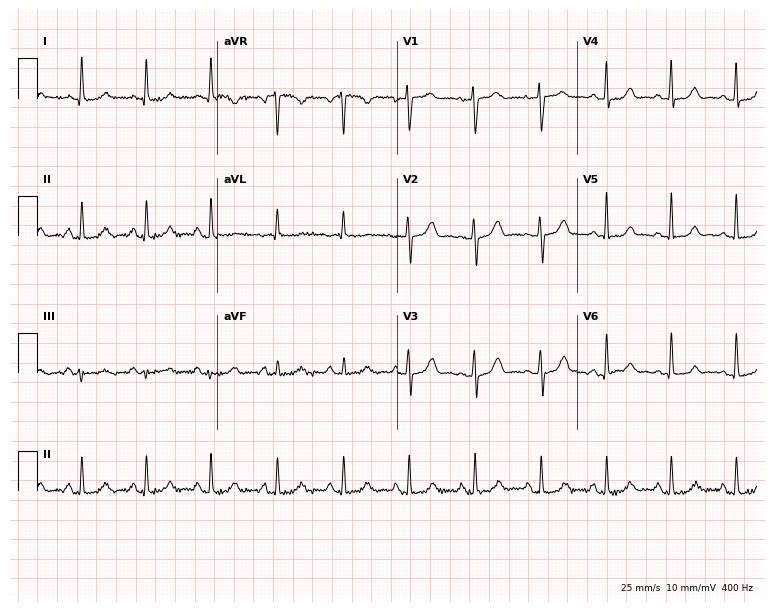
ECG (7.3-second recording at 400 Hz) — a 59-year-old female. Screened for six findings — first-degree AV block, right bundle branch block, left bundle branch block, sinus bradycardia, atrial fibrillation, sinus tachycardia — none is recorded.